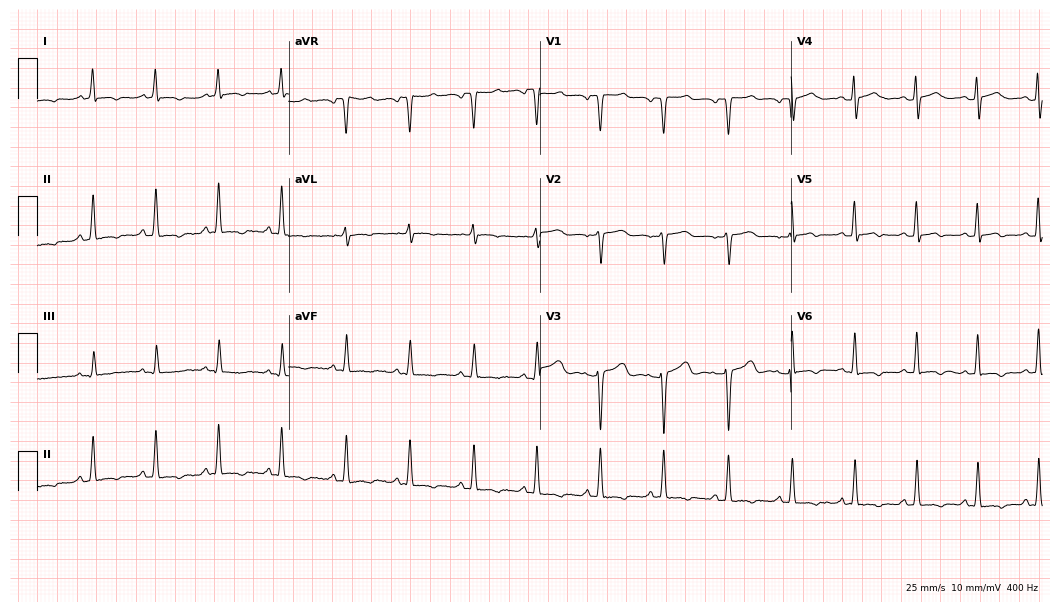
ECG (10.2-second recording at 400 Hz) — a female patient, 44 years old. Screened for six findings — first-degree AV block, right bundle branch block (RBBB), left bundle branch block (LBBB), sinus bradycardia, atrial fibrillation (AF), sinus tachycardia — none is recorded.